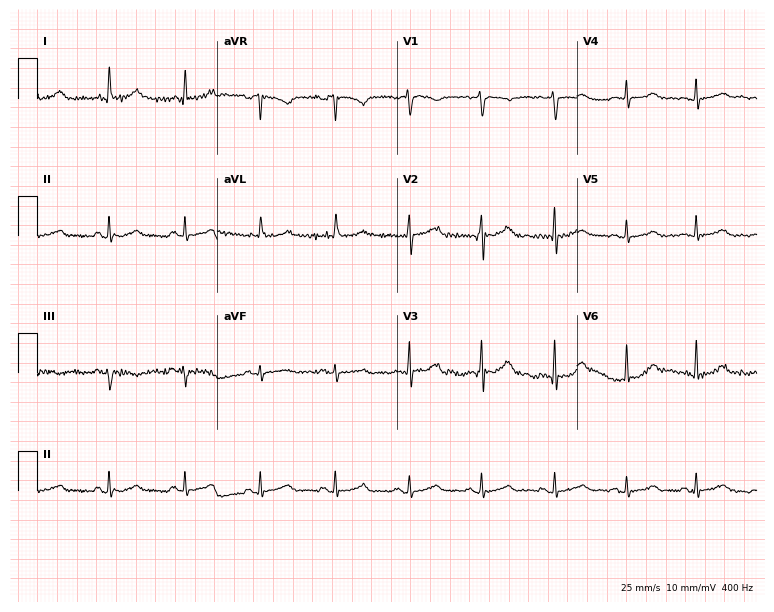
Electrocardiogram, a 57-year-old woman. Overall reading on record: normal ECG.